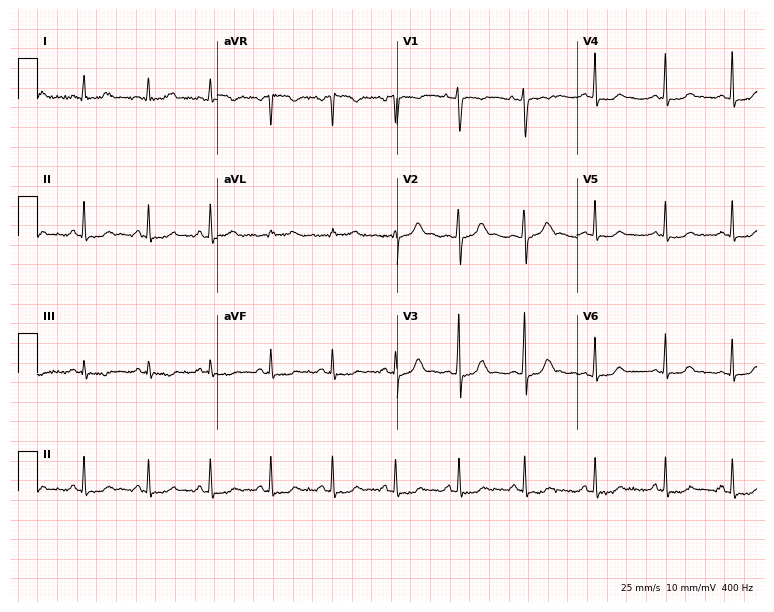
Resting 12-lead electrocardiogram. Patient: a female, 19 years old. None of these six findings is recorded: first-degree AV block, right bundle branch block, left bundle branch block, sinus bradycardia, atrial fibrillation, sinus tachycardia.